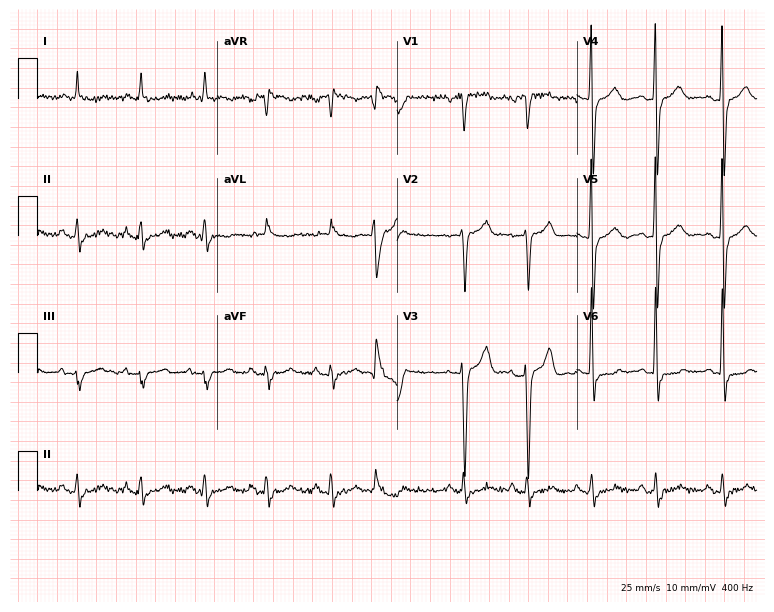
Resting 12-lead electrocardiogram (7.3-second recording at 400 Hz). Patient: an 81-year-old male. None of these six findings is recorded: first-degree AV block, right bundle branch block, left bundle branch block, sinus bradycardia, atrial fibrillation, sinus tachycardia.